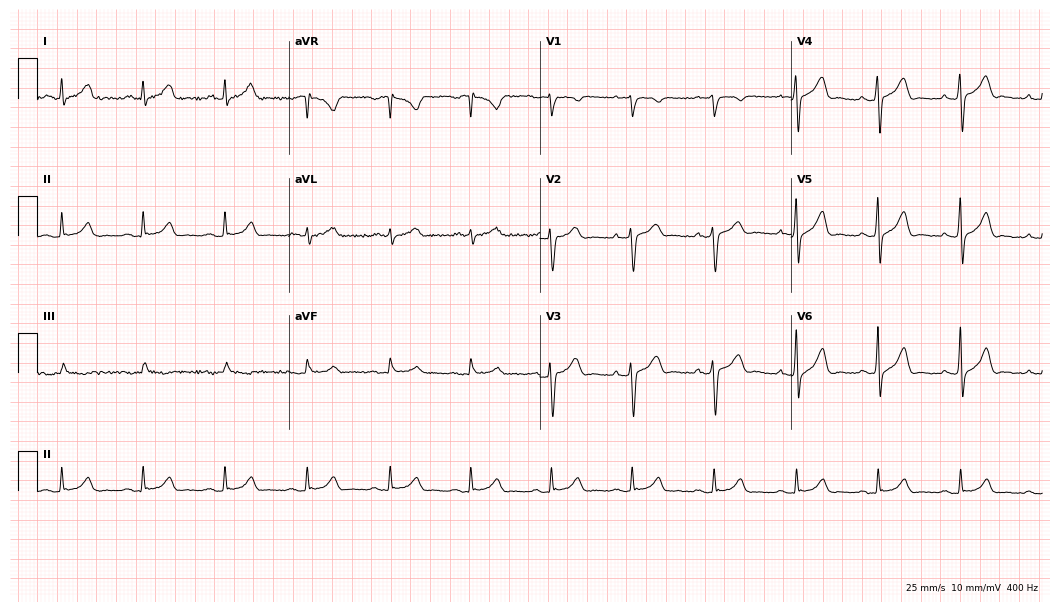
12-lead ECG from a male, 44 years old. Recorded interpretation: within normal limits.